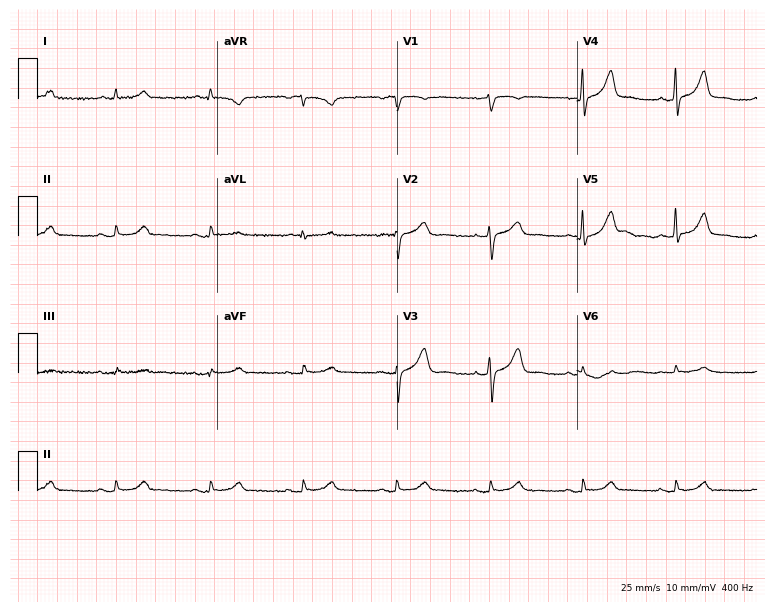
12-lead ECG from a 60-year-old man. Screened for six findings — first-degree AV block, right bundle branch block, left bundle branch block, sinus bradycardia, atrial fibrillation, sinus tachycardia — none is recorded.